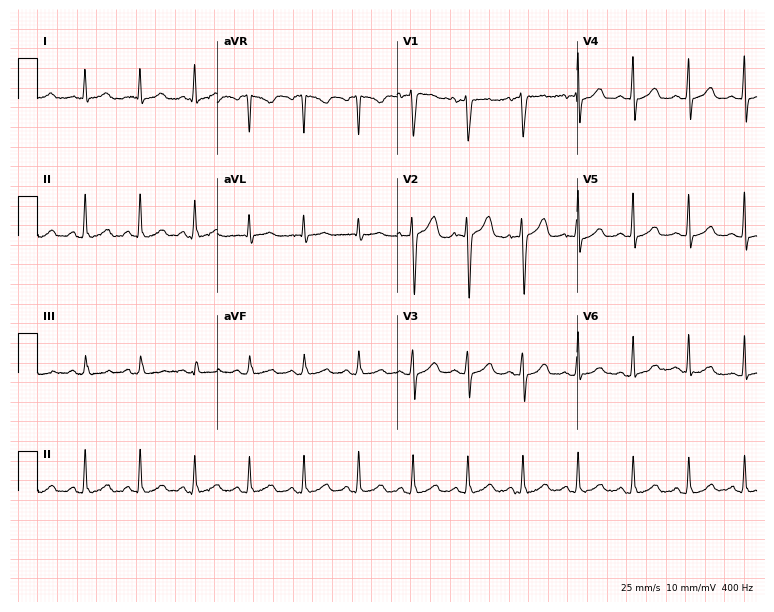
Resting 12-lead electrocardiogram (7.3-second recording at 400 Hz). Patient: a woman, 44 years old. The tracing shows sinus tachycardia (a sinus rate of 100 beats per minute or more).